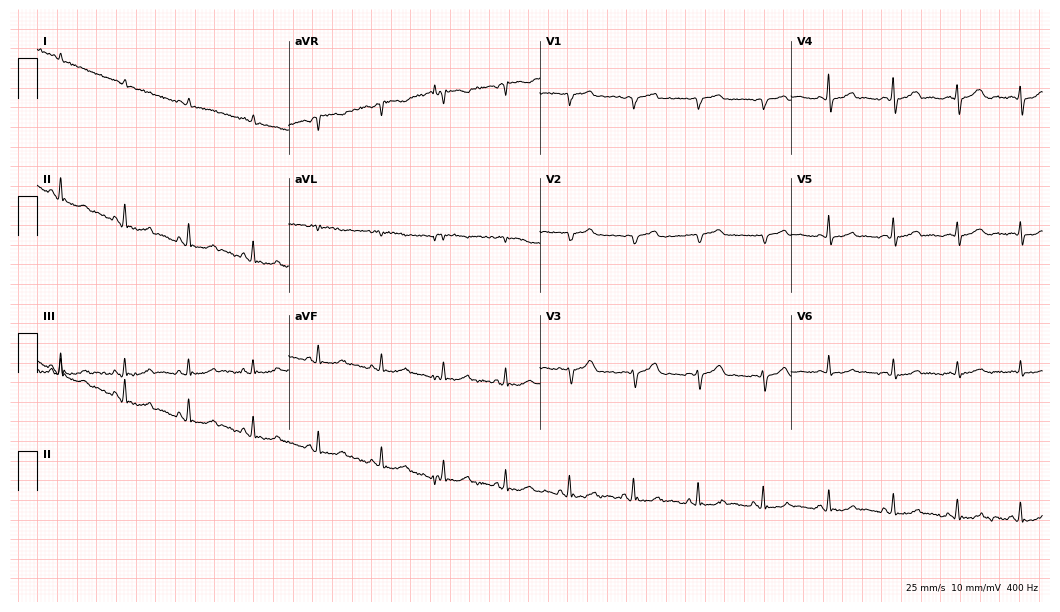
12-lead ECG from a 69-year-old male. Screened for six findings — first-degree AV block, right bundle branch block, left bundle branch block, sinus bradycardia, atrial fibrillation, sinus tachycardia — none is recorded. Only these six findings were labelled.